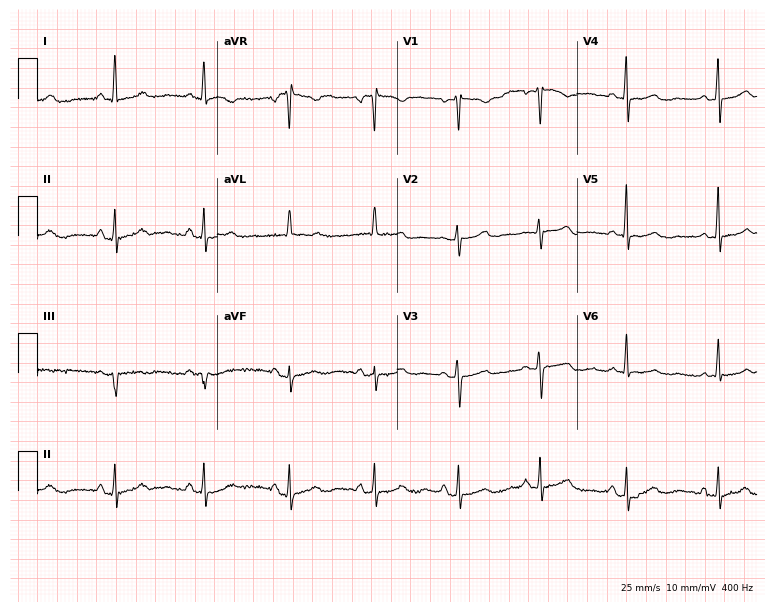
ECG — a 53-year-old female patient. Screened for six findings — first-degree AV block, right bundle branch block, left bundle branch block, sinus bradycardia, atrial fibrillation, sinus tachycardia — none is recorded.